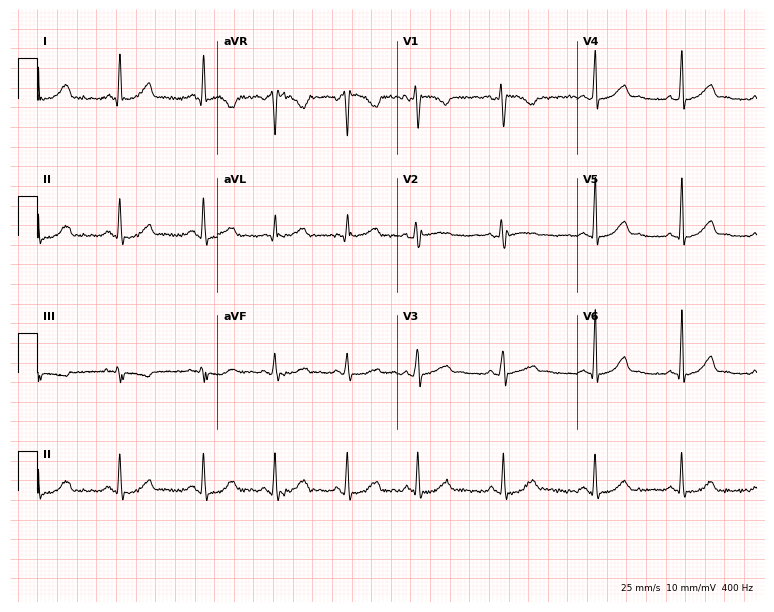
12-lead ECG from a female patient, 26 years old. Recorded interpretation: within normal limits.